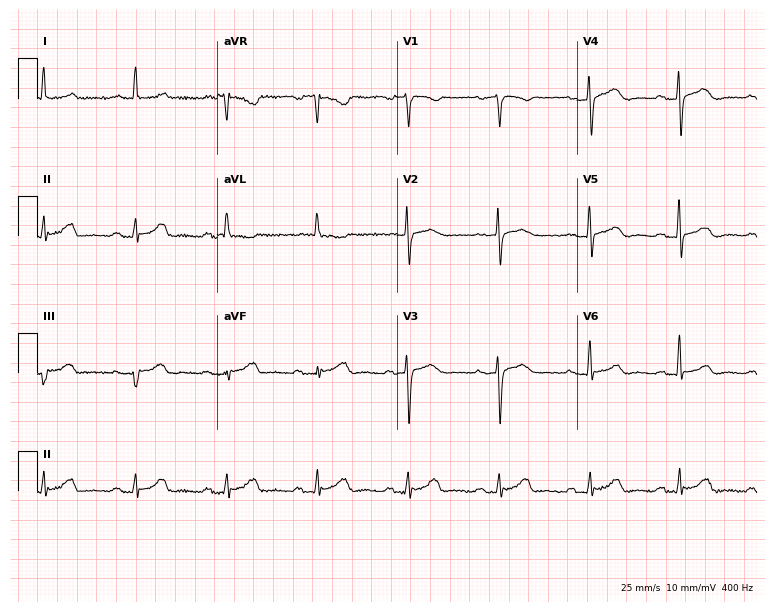
Standard 12-lead ECG recorded from a female, 69 years old. Read as a normal ECG.